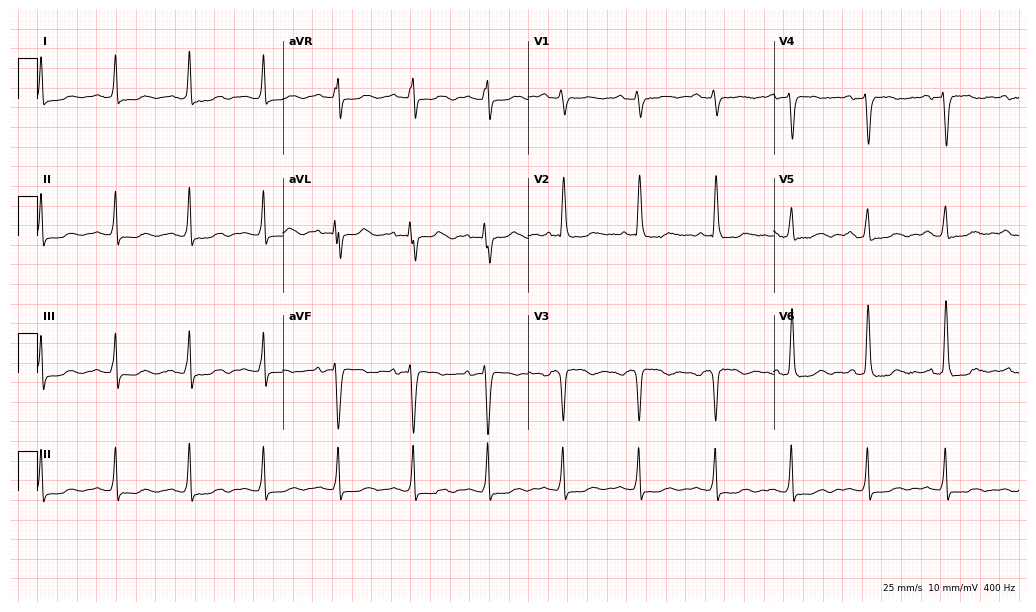
12-lead ECG from a woman, 77 years old. Screened for six findings — first-degree AV block, right bundle branch block, left bundle branch block, sinus bradycardia, atrial fibrillation, sinus tachycardia — none is recorded. Other findings, if any, are not listed.